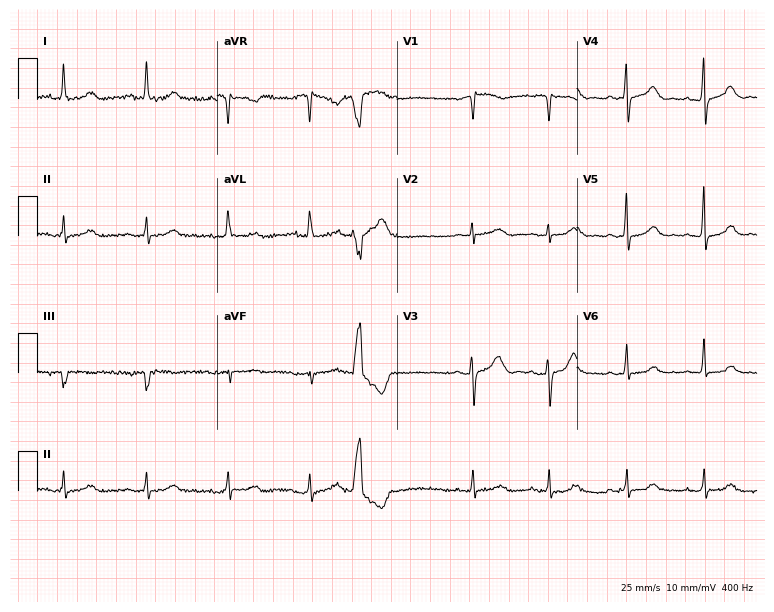
Electrocardiogram, a 75-year-old female. Of the six screened findings (first-degree AV block, right bundle branch block, left bundle branch block, sinus bradycardia, atrial fibrillation, sinus tachycardia), none is recorded.